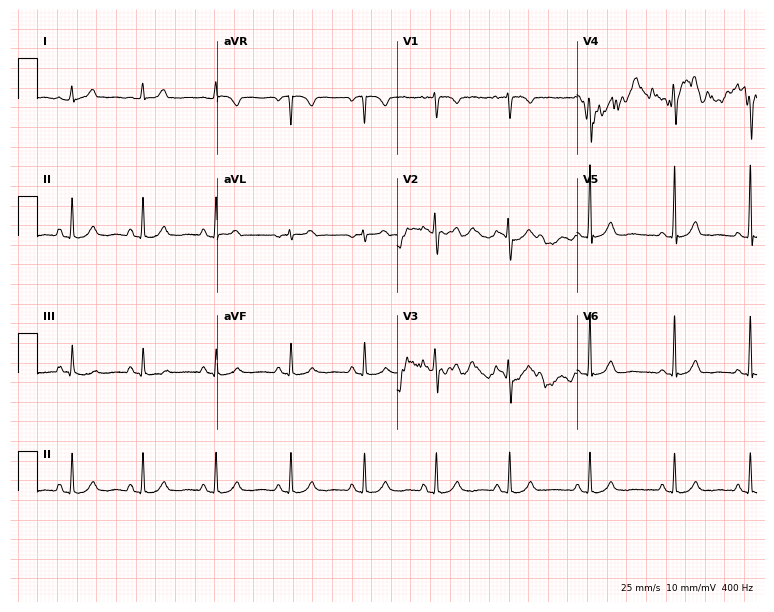
Standard 12-lead ECG recorded from a female, 28 years old (7.3-second recording at 400 Hz). Read as a normal ECG.